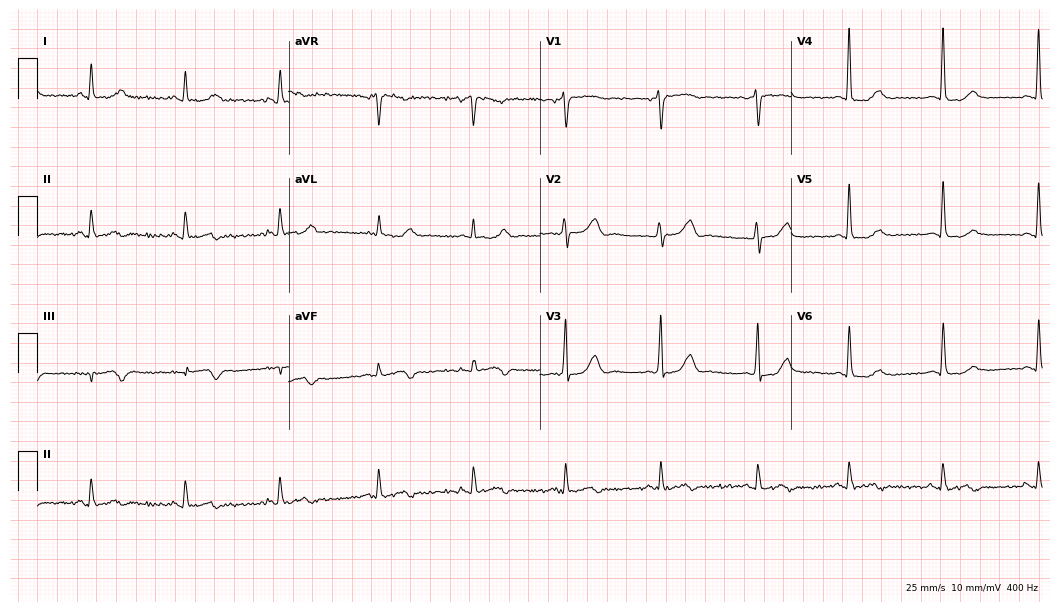
Resting 12-lead electrocardiogram. Patient: a female, 75 years old. None of these six findings is recorded: first-degree AV block, right bundle branch block (RBBB), left bundle branch block (LBBB), sinus bradycardia, atrial fibrillation (AF), sinus tachycardia.